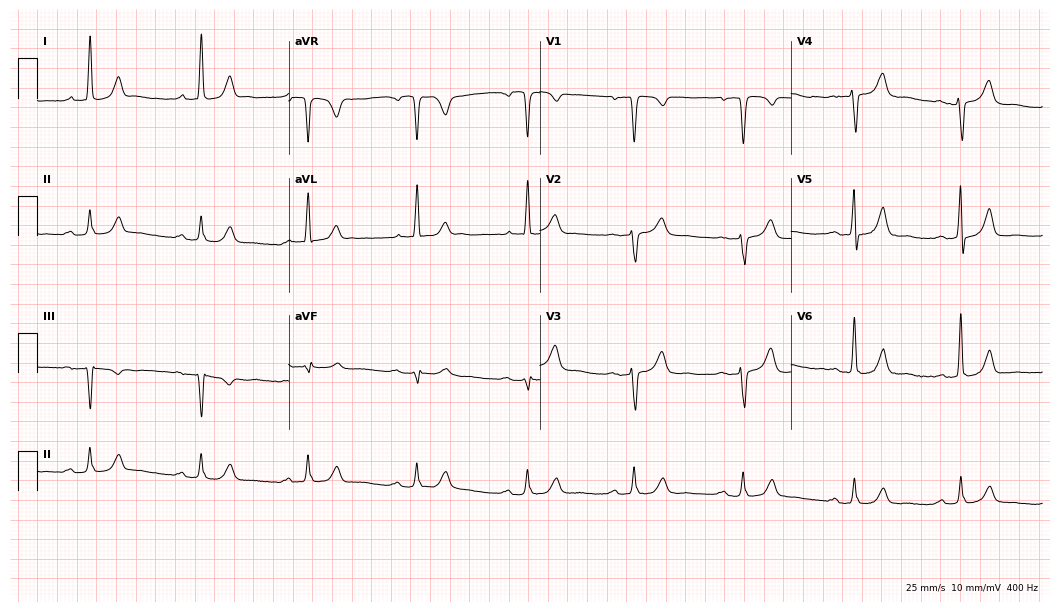
Electrocardiogram, a 79-year-old man. Interpretation includes first-degree AV block.